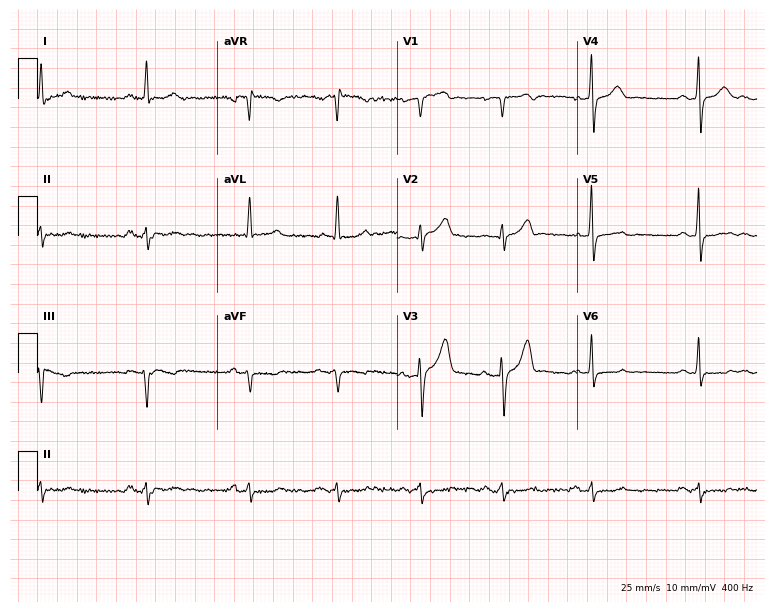
ECG (7.3-second recording at 400 Hz) — a male patient, 84 years old. Screened for six findings — first-degree AV block, right bundle branch block, left bundle branch block, sinus bradycardia, atrial fibrillation, sinus tachycardia — none is recorded. Other findings, if any, are not listed.